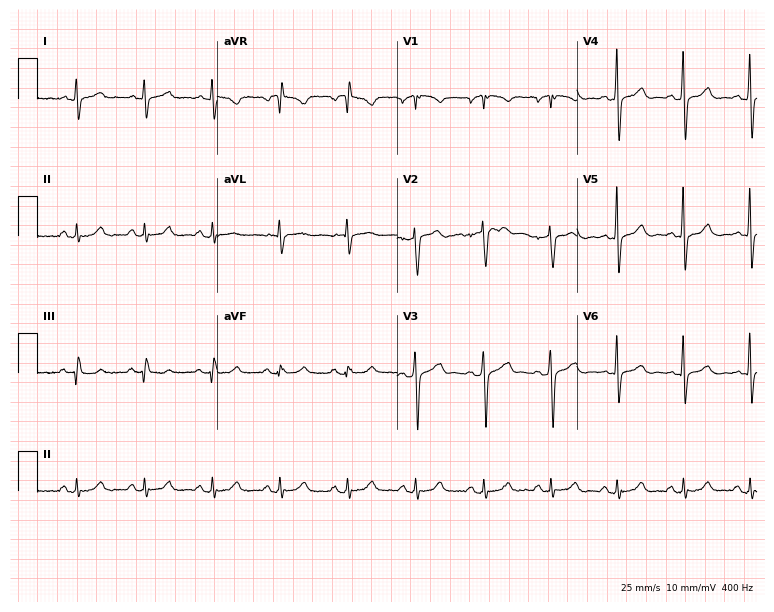
Resting 12-lead electrocardiogram. Patient: a 45-year-old male. None of these six findings is recorded: first-degree AV block, right bundle branch block, left bundle branch block, sinus bradycardia, atrial fibrillation, sinus tachycardia. Other findings, if any, are not listed.